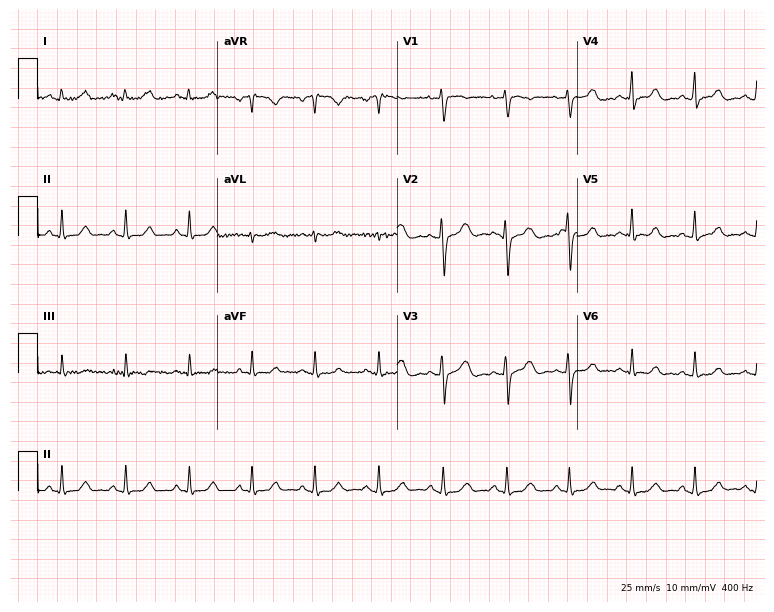
12-lead ECG from a woman, 50 years old (7.3-second recording at 400 Hz). Recorded interpretation: within normal limits.